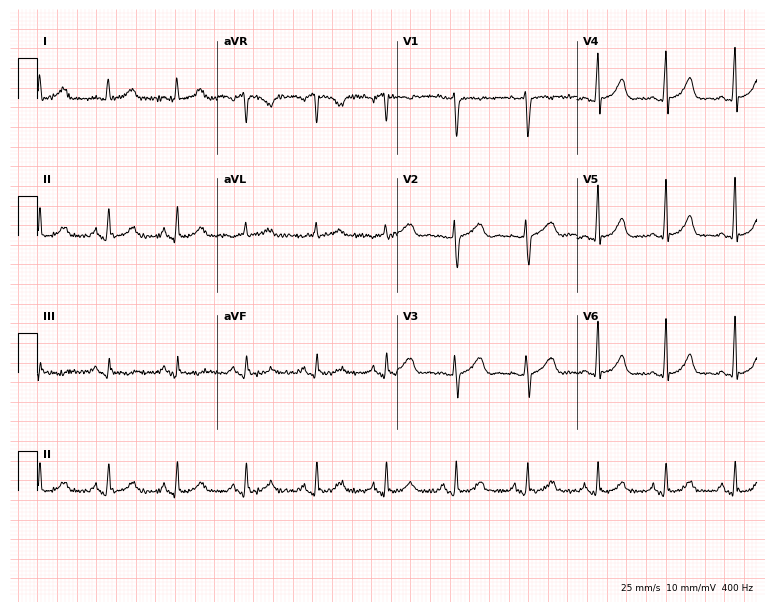
12-lead ECG from a 57-year-old female patient. Screened for six findings — first-degree AV block, right bundle branch block, left bundle branch block, sinus bradycardia, atrial fibrillation, sinus tachycardia — none is recorded. Findings outside these six are not listed.